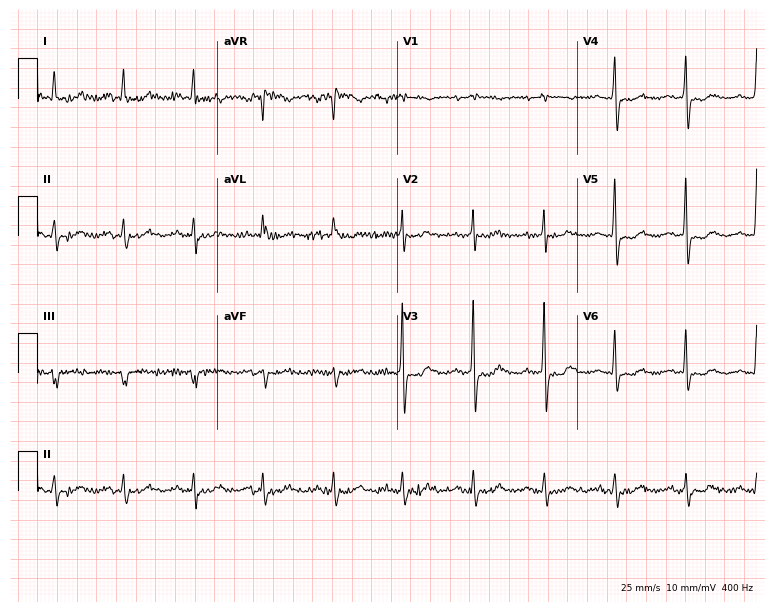
Electrocardiogram (7.3-second recording at 400 Hz), a 75-year-old female. Of the six screened findings (first-degree AV block, right bundle branch block (RBBB), left bundle branch block (LBBB), sinus bradycardia, atrial fibrillation (AF), sinus tachycardia), none is recorded. Only these six findings were labelled.